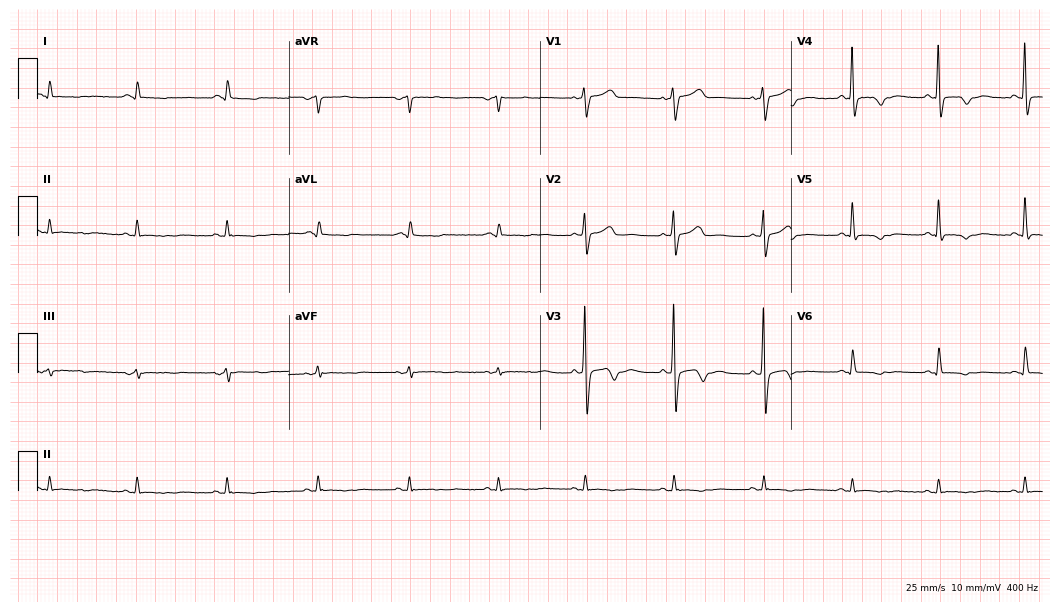
12-lead ECG from a man, 61 years old. Labelled as a normal ECG.